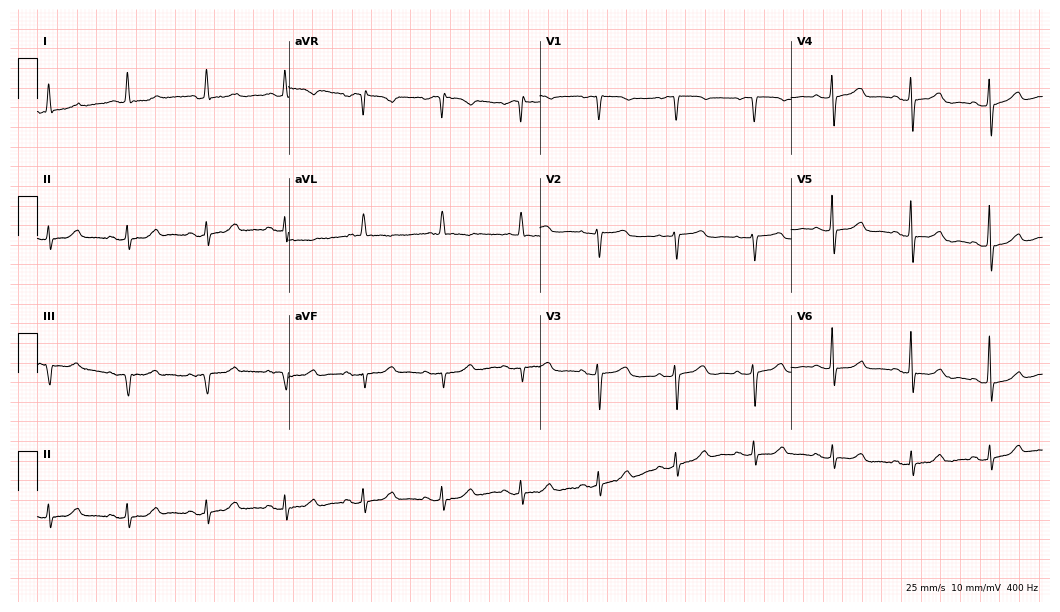
Electrocardiogram (10.2-second recording at 400 Hz), an 82-year-old female patient. Of the six screened findings (first-degree AV block, right bundle branch block (RBBB), left bundle branch block (LBBB), sinus bradycardia, atrial fibrillation (AF), sinus tachycardia), none is recorded.